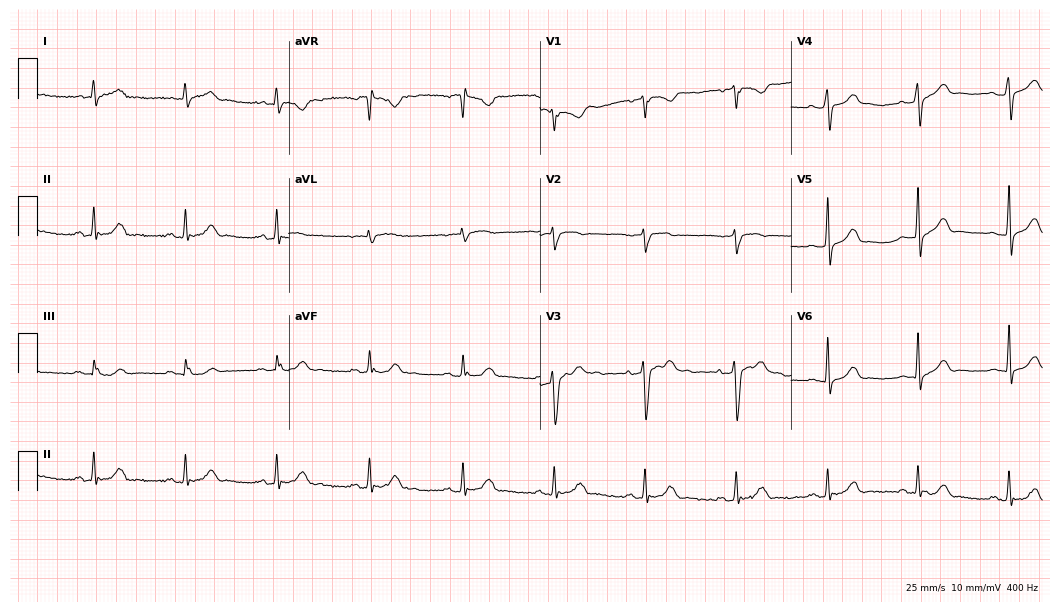
ECG (10.2-second recording at 400 Hz) — a 26-year-old male. Labelled as a normal ECG.